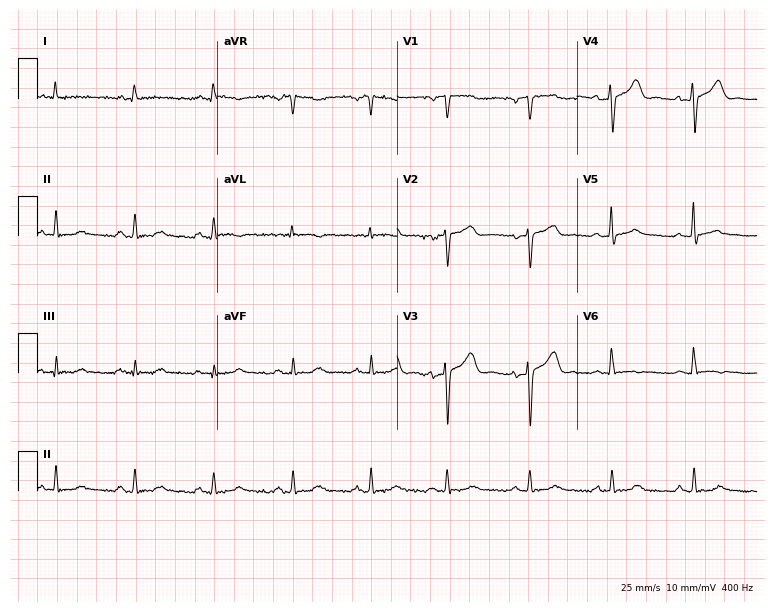
12-lead ECG from a female, 60 years old. Recorded interpretation: within normal limits.